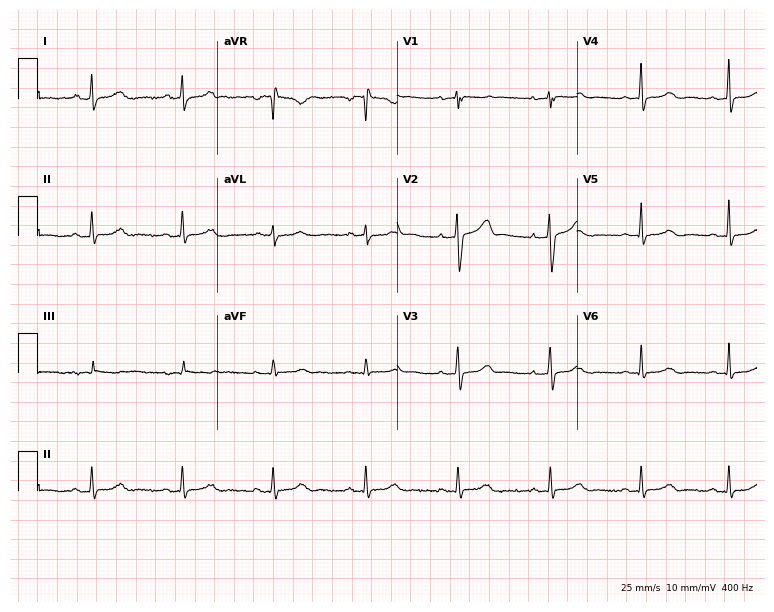
Standard 12-lead ECG recorded from a 46-year-old woman. Read as a normal ECG.